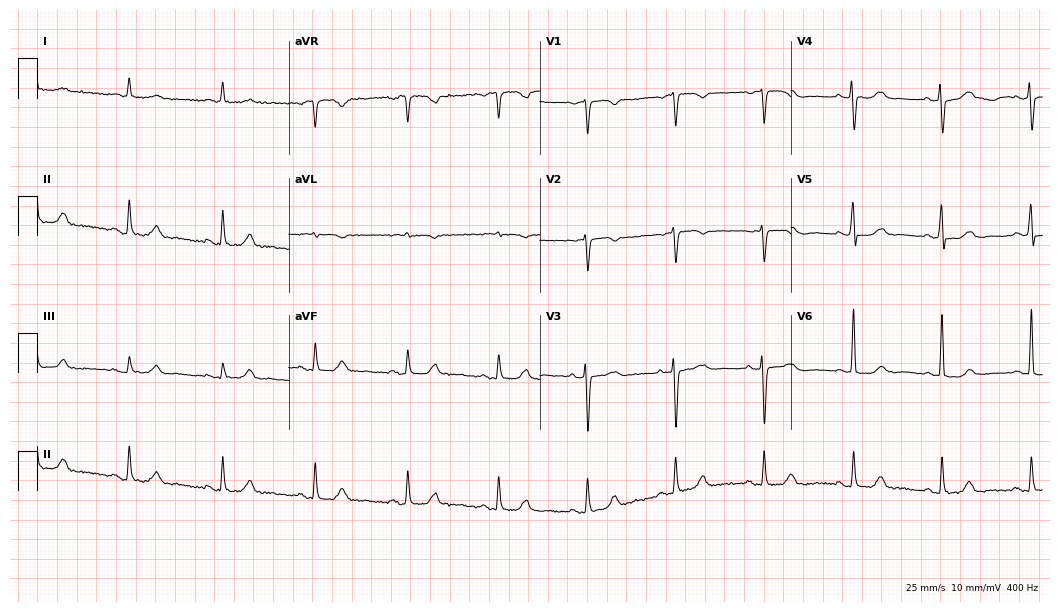
12-lead ECG (10.2-second recording at 400 Hz) from a male, 73 years old. Labelled as a normal ECG.